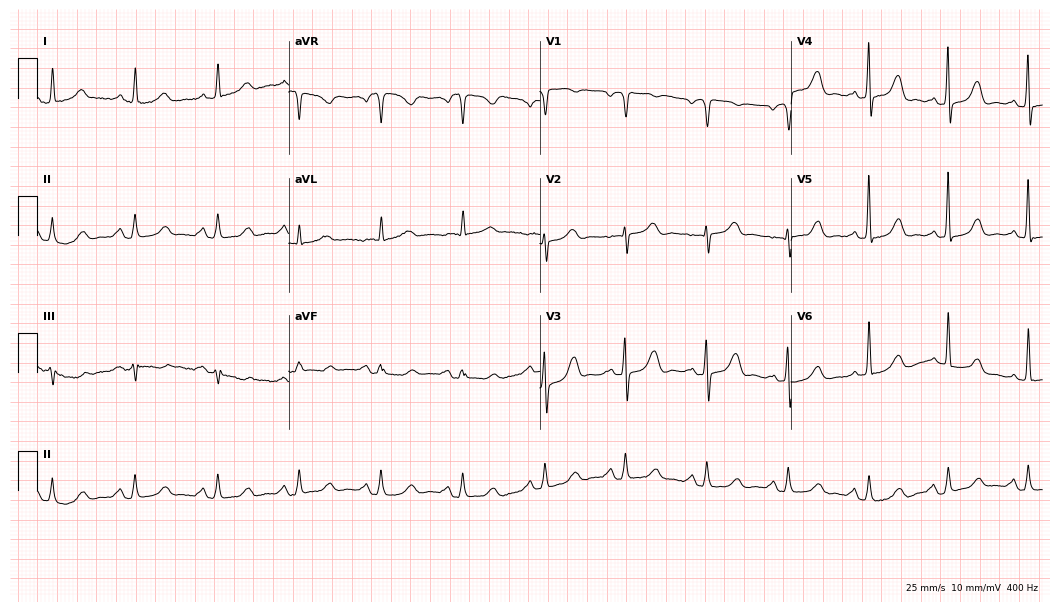
12-lead ECG from a 78-year-old woman (10.2-second recording at 400 Hz). No first-degree AV block, right bundle branch block, left bundle branch block, sinus bradycardia, atrial fibrillation or sinus tachycardia recorded for this tracing.